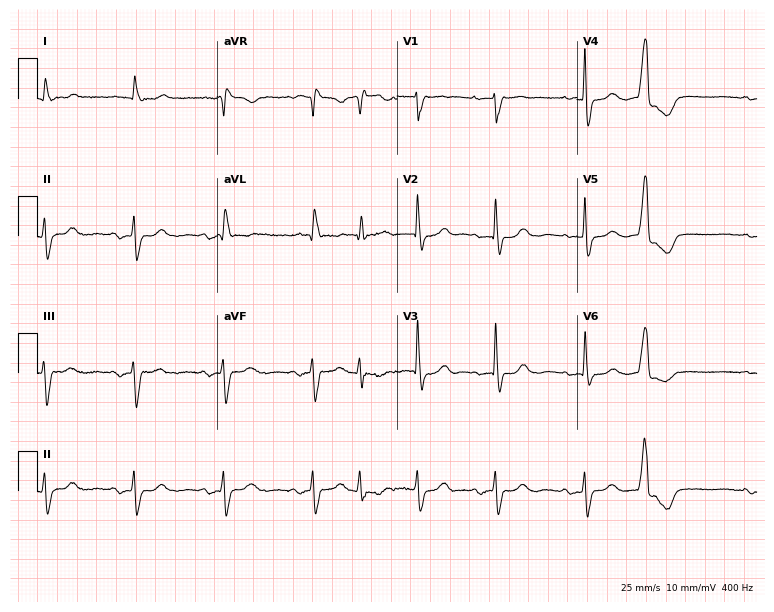
Resting 12-lead electrocardiogram. Patient: a female, 82 years old. The tracing shows left bundle branch block (LBBB).